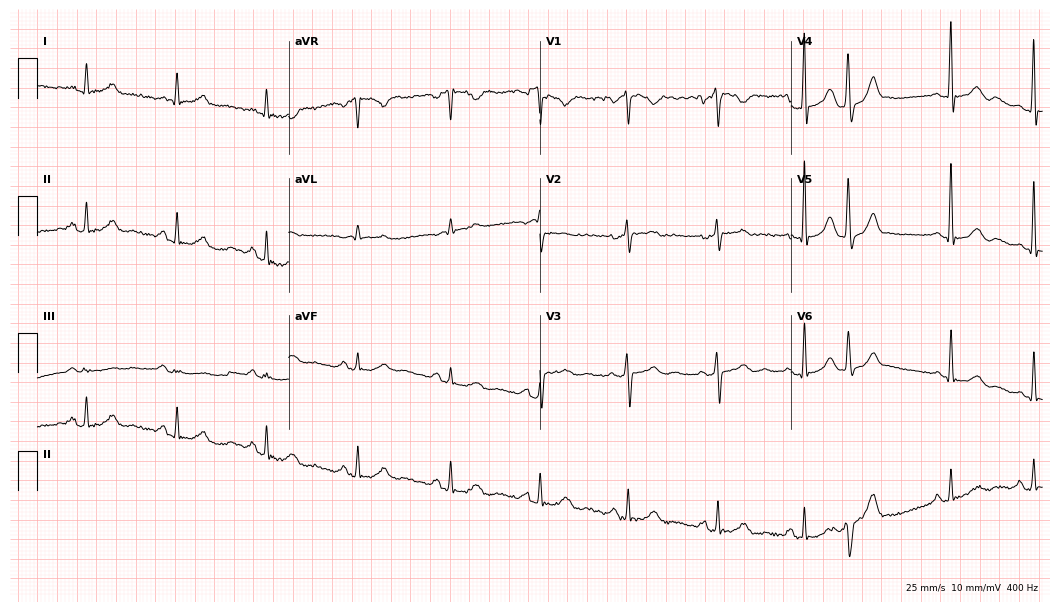
12-lead ECG from a man, 58 years old (10.2-second recording at 400 Hz). No first-degree AV block, right bundle branch block, left bundle branch block, sinus bradycardia, atrial fibrillation or sinus tachycardia recorded for this tracing.